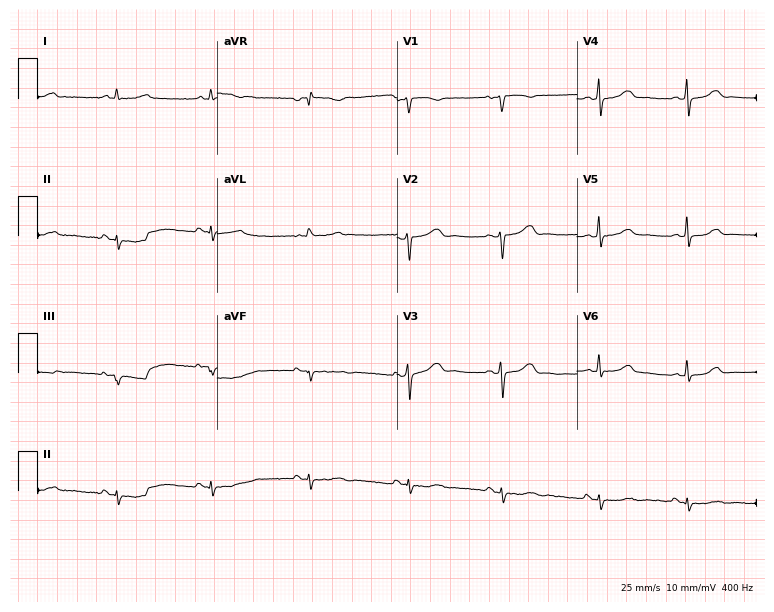
Standard 12-lead ECG recorded from a woman, 48 years old (7.3-second recording at 400 Hz). None of these six findings is recorded: first-degree AV block, right bundle branch block, left bundle branch block, sinus bradycardia, atrial fibrillation, sinus tachycardia.